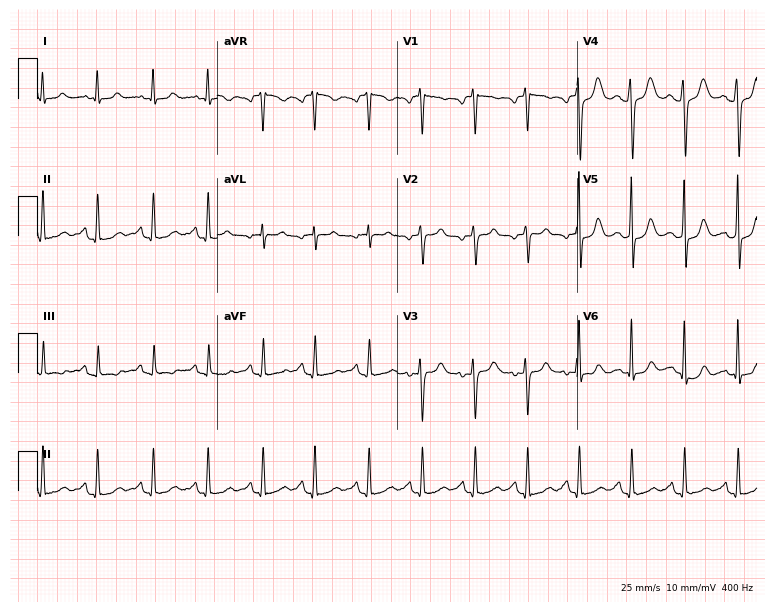
12-lead ECG from a 27-year-old woman. No first-degree AV block, right bundle branch block (RBBB), left bundle branch block (LBBB), sinus bradycardia, atrial fibrillation (AF) or sinus tachycardia recorded for this tracing.